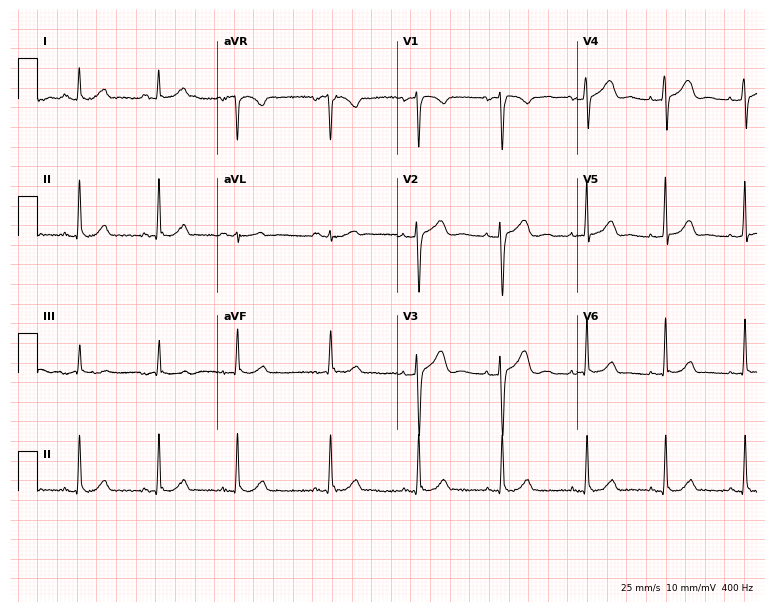
12-lead ECG from a 35-year-old woman (7.3-second recording at 400 Hz). No first-degree AV block, right bundle branch block (RBBB), left bundle branch block (LBBB), sinus bradycardia, atrial fibrillation (AF) or sinus tachycardia recorded for this tracing.